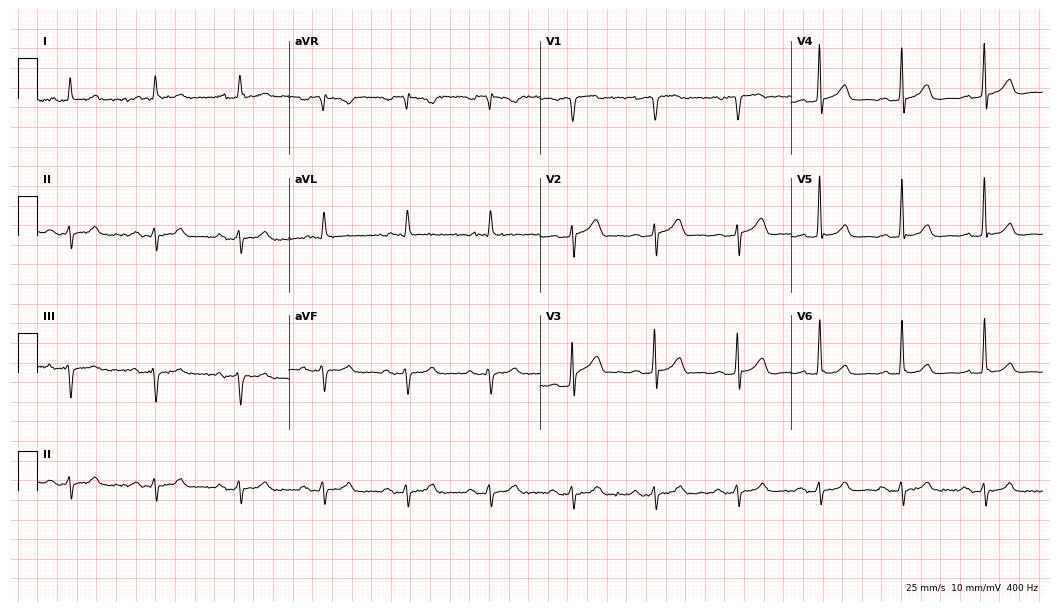
Standard 12-lead ECG recorded from a 66-year-old man (10.2-second recording at 400 Hz). None of these six findings is recorded: first-degree AV block, right bundle branch block, left bundle branch block, sinus bradycardia, atrial fibrillation, sinus tachycardia.